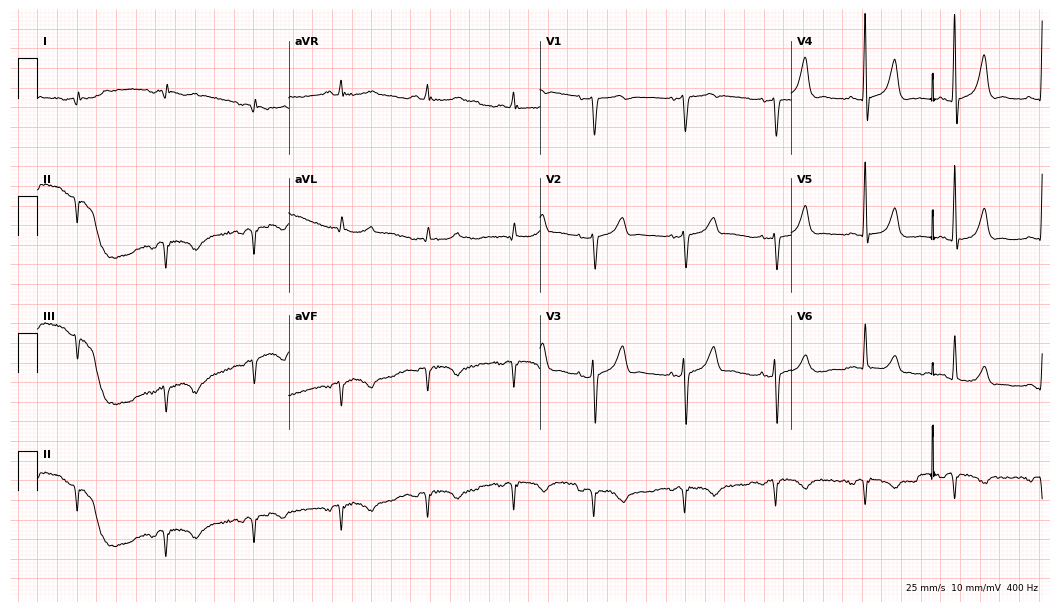
ECG — an 80-year-old female. Screened for six findings — first-degree AV block, right bundle branch block, left bundle branch block, sinus bradycardia, atrial fibrillation, sinus tachycardia — none is recorded. Only these six findings were labelled.